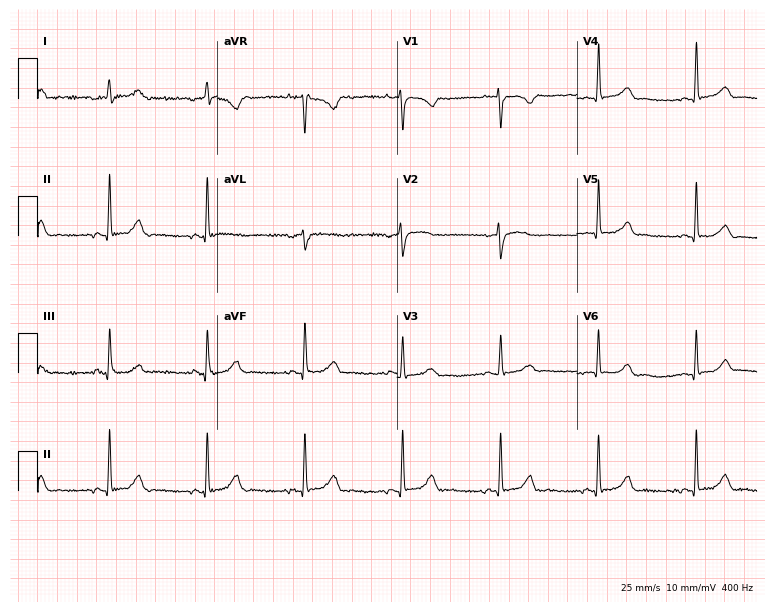
12-lead ECG (7.3-second recording at 400 Hz) from a female, 32 years old. Screened for six findings — first-degree AV block, right bundle branch block, left bundle branch block, sinus bradycardia, atrial fibrillation, sinus tachycardia — none is recorded. Only these six findings were labelled.